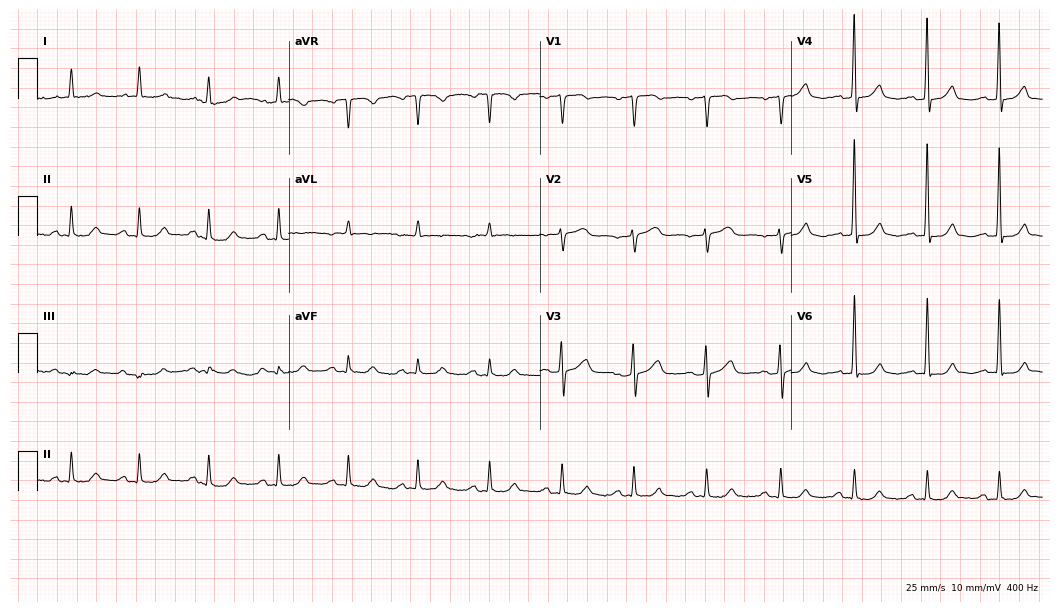
Resting 12-lead electrocardiogram. Patient: a female, 71 years old. None of these six findings is recorded: first-degree AV block, right bundle branch block (RBBB), left bundle branch block (LBBB), sinus bradycardia, atrial fibrillation (AF), sinus tachycardia. Other findings, if any, are not listed.